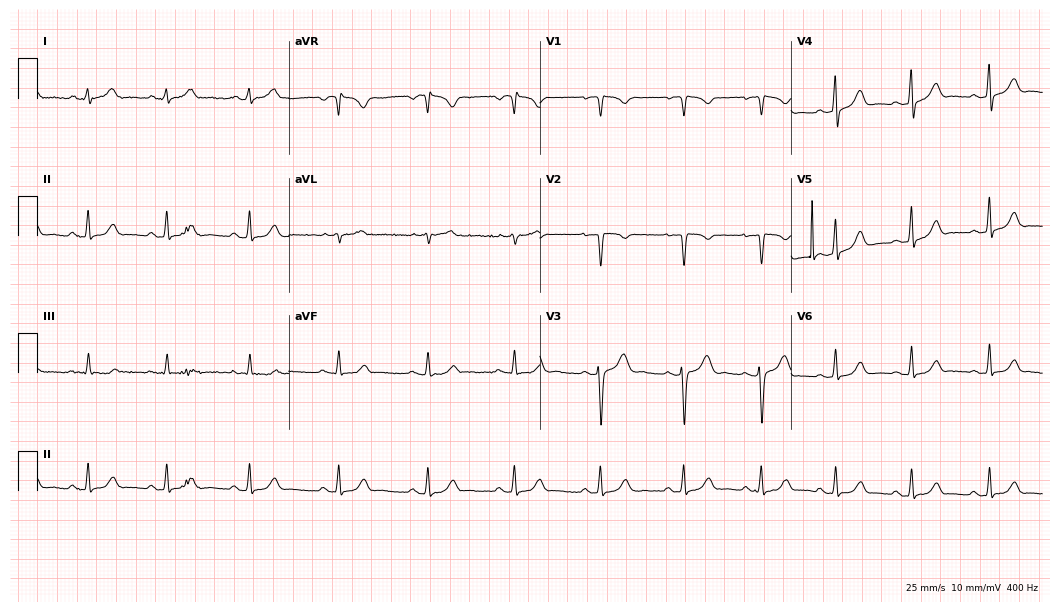
12-lead ECG from a woman, 32 years old. No first-degree AV block, right bundle branch block, left bundle branch block, sinus bradycardia, atrial fibrillation or sinus tachycardia recorded for this tracing. Findings outside these six are not listed.